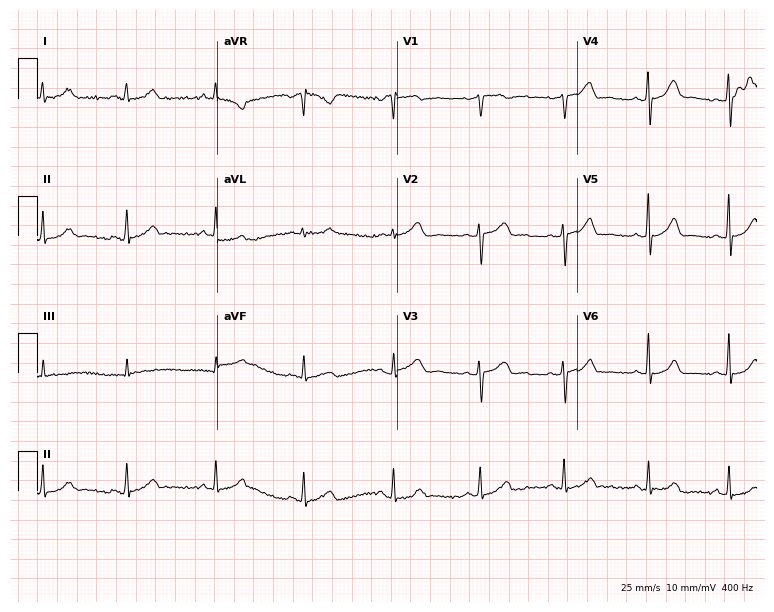
Standard 12-lead ECG recorded from a female patient, 29 years old. None of these six findings is recorded: first-degree AV block, right bundle branch block (RBBB), left bundle branch block (LBBB), sinus bradycardia, atrial fibrillation (AF), sinus tachycardia. Findings outside these six are not listed.